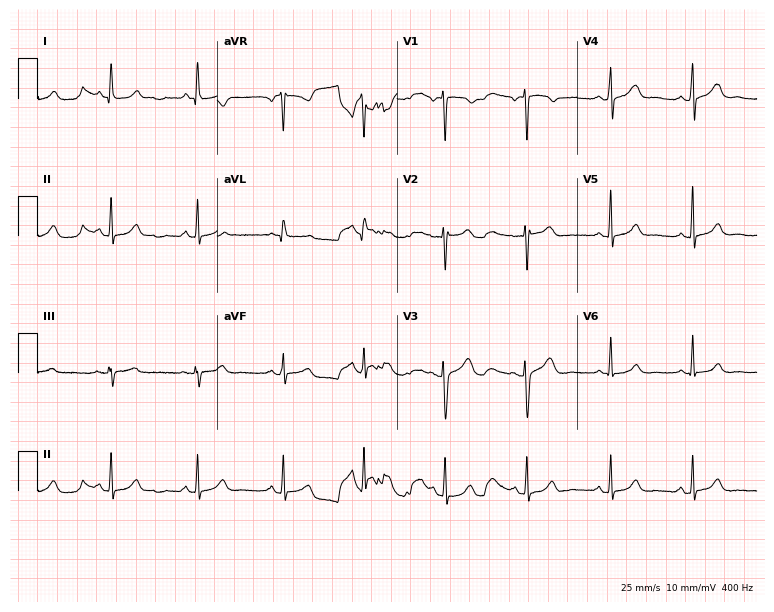
12-lead ECG from a 47-year-old female patient. Recorded interpretation: within normal limits.